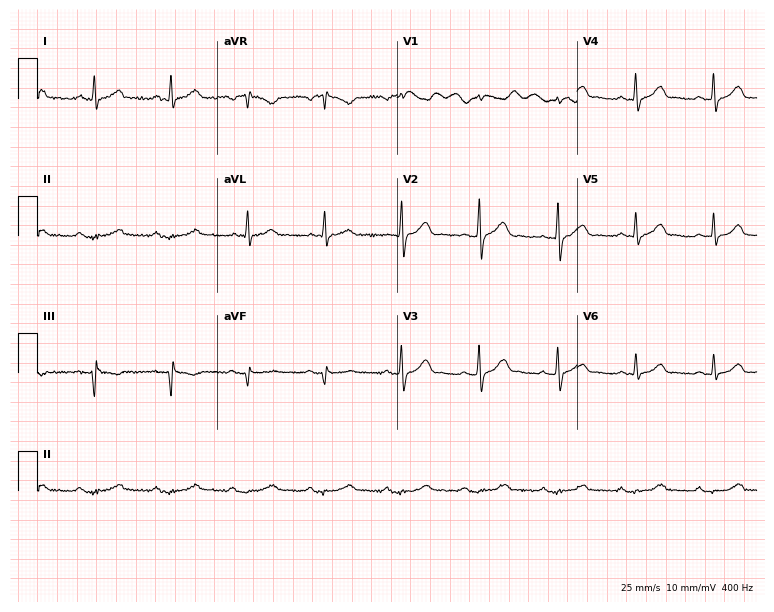
ECG — a 61-year-old male patient. Labelled as a normal ECG.